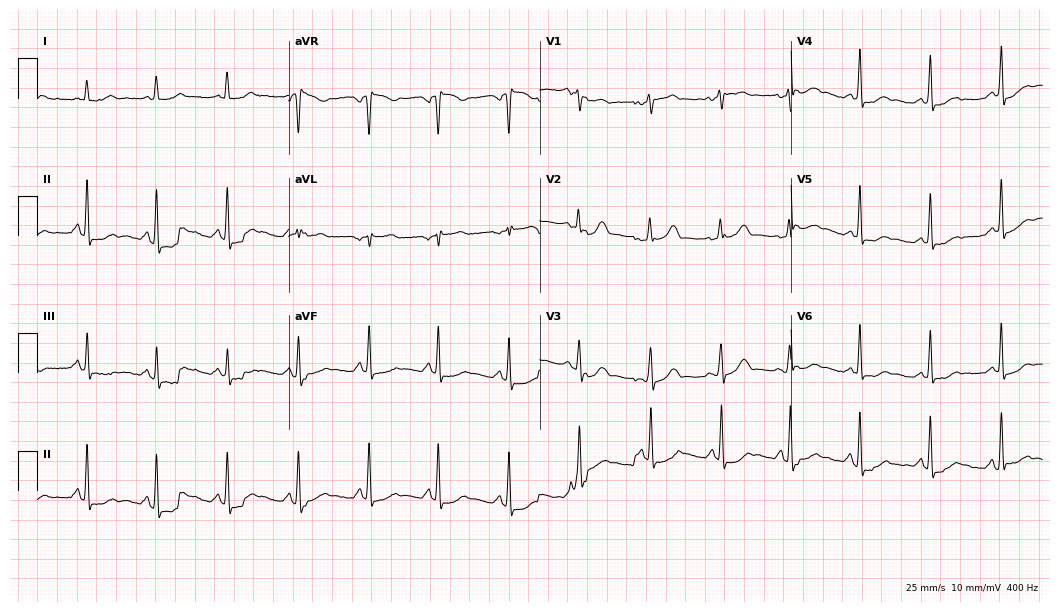
12-lead ECG (10.2-second recording at 400 Hz) from a female, 54 years old. Screened for six findings — first-degree AV block, right bundle branch block, left bundle branch block, sinus bradycardia, atrial fibrillation, sinus tachycardia — none is recorded.